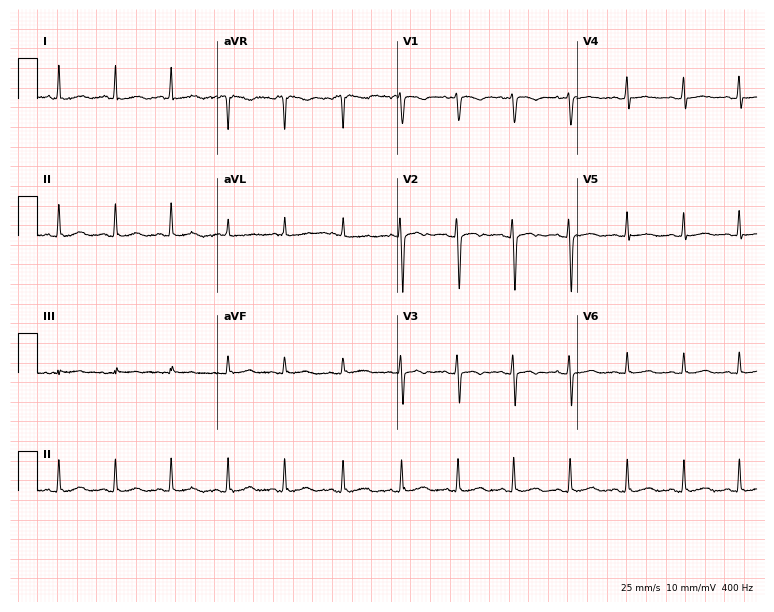
Standard 12-lead ECG recorded from a woman, 21 years old (7.3-second recording at 400 Hz). The tracing shows sinus tachycardia (a sinus rate of 100 beats per minute or more).